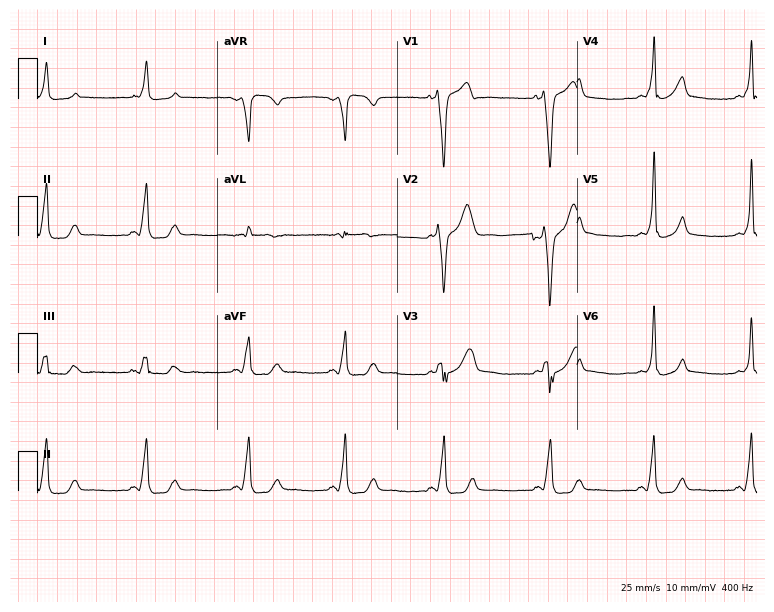
Electrocardiogram (7.3-second recording at 400 Hz), a 36-year-old male. Of the six screened findings (first-degree AV block, right bundle branch block, left bundle branch block, sinus bradycardia, atrial fibrillation, sinus tachycardia), none is recorded. Only these six findings were labelled.